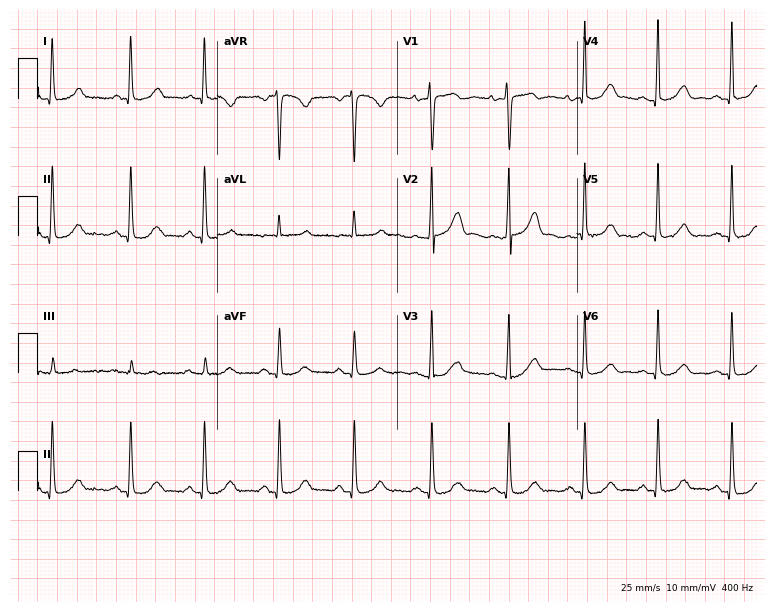
Standard 12-lead ECG recorded from a 49-year-old female patient. Read as a normal ECG.